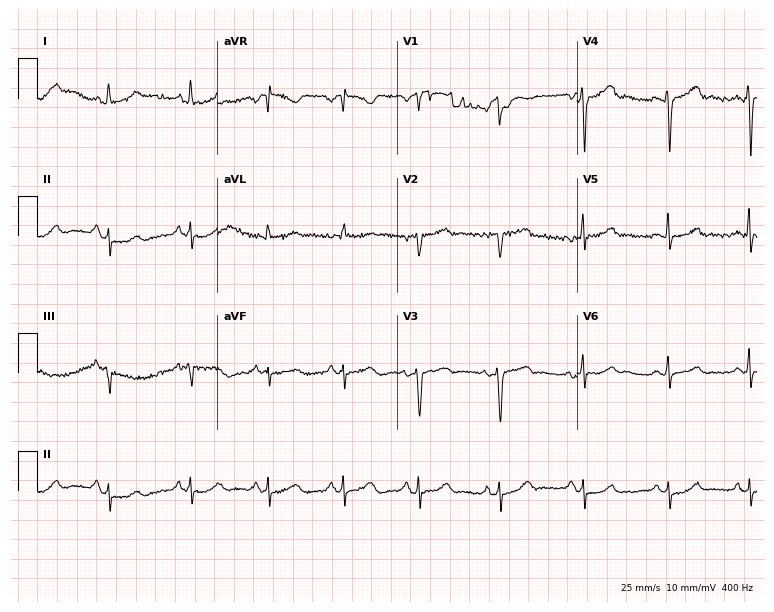
Electrocardiogram, a 61-year-old female patient. Of the six screened findings (first-degree AV block, right bundle branch block, left bundle branch block, sinus bradycardia, atrial fibrillation, sinus tachycardia), none is recorded.